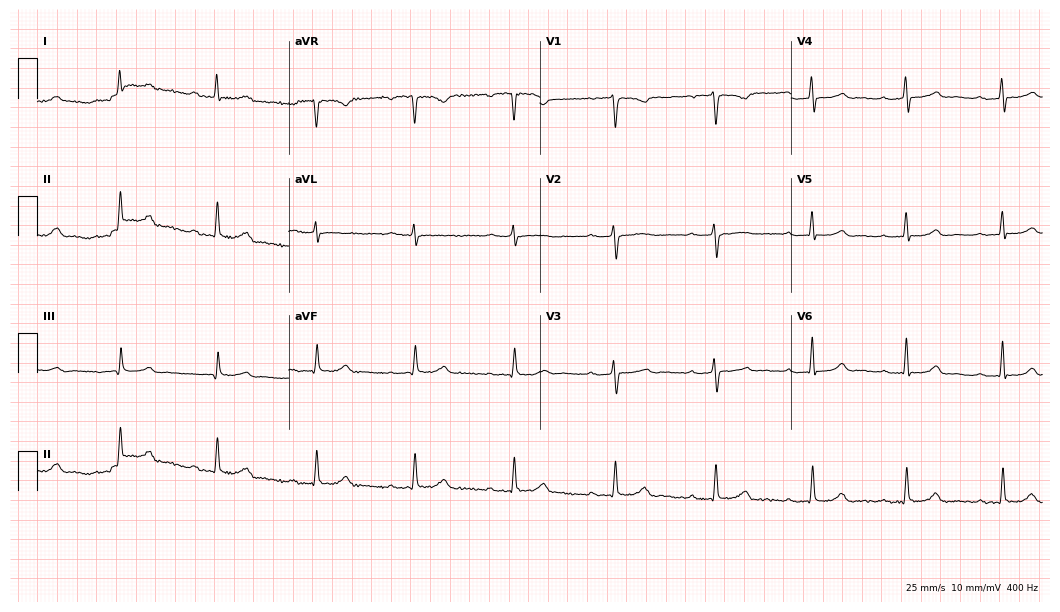
Electrocardiogram (10.2-second recording at 400 Hz), a 31-year-old female patient. Interpretation includes first-degree AV block.